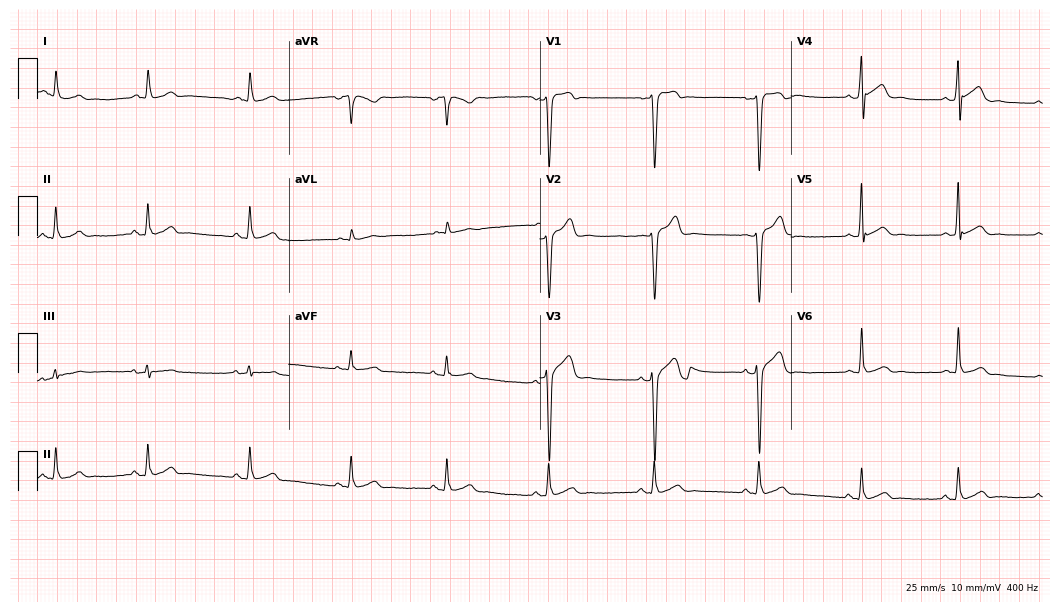
Resting 12-lead electrocardiogram. Patient: a male, 23 years old. Read as a normal ECG.